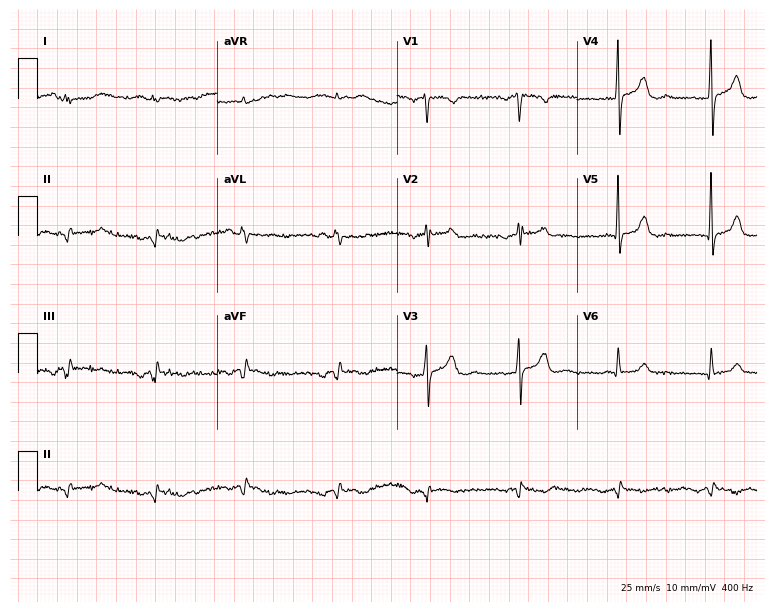
ECG (7.3-second recording at 400 Hz) — a 60-year-old male patient. Screened for six findings — first-degree AV block, right bundle branch block, left bundle branch block, sinus bradycardia, atrial fibrillation, sinus tachycardia — none is recorded.